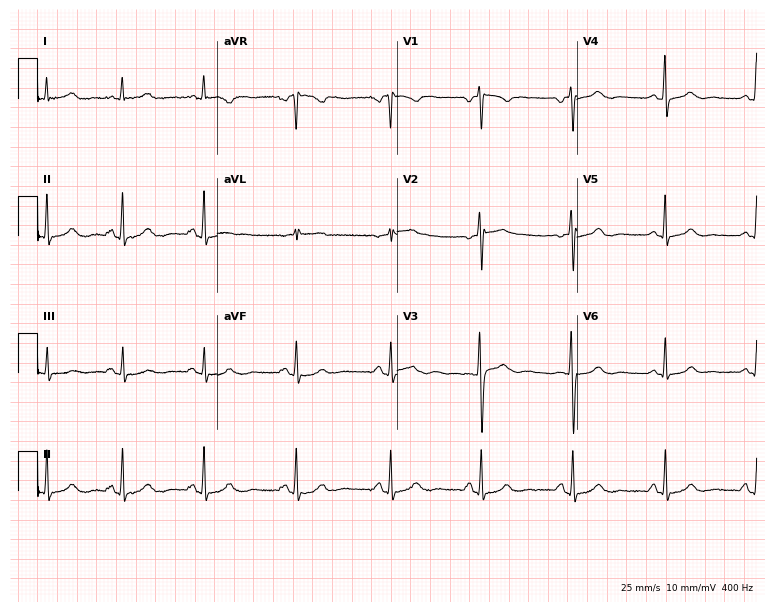
Electrocardiogram, a 45-year-old female patient. Overall reading on record: normal ECG.